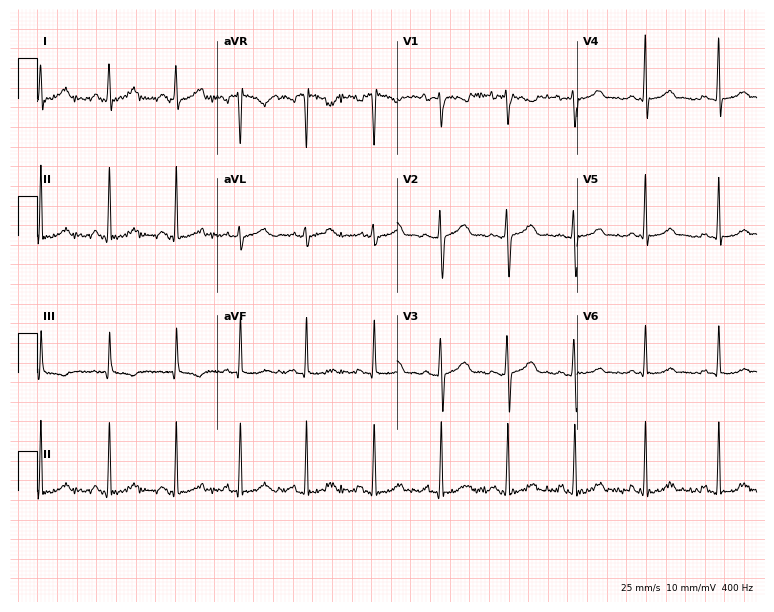
12-lead ECG (7.3-second recording at 400 Hz) from a 29-year-old woman. Labelled as a normal ECG.